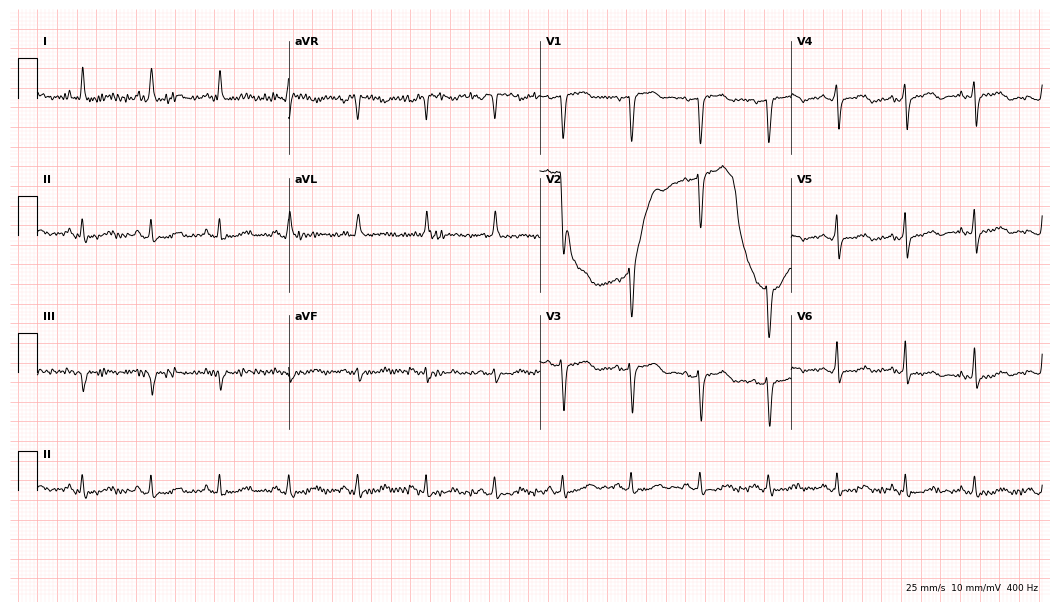
Electrocardiogram, a 69-year-old female. Of the six screened findings (first-degree AV block, right bundle branch block, left bundle branch block, sinus bradycardia, atrial fibrillation, sinus tachycardia), none is recorded.